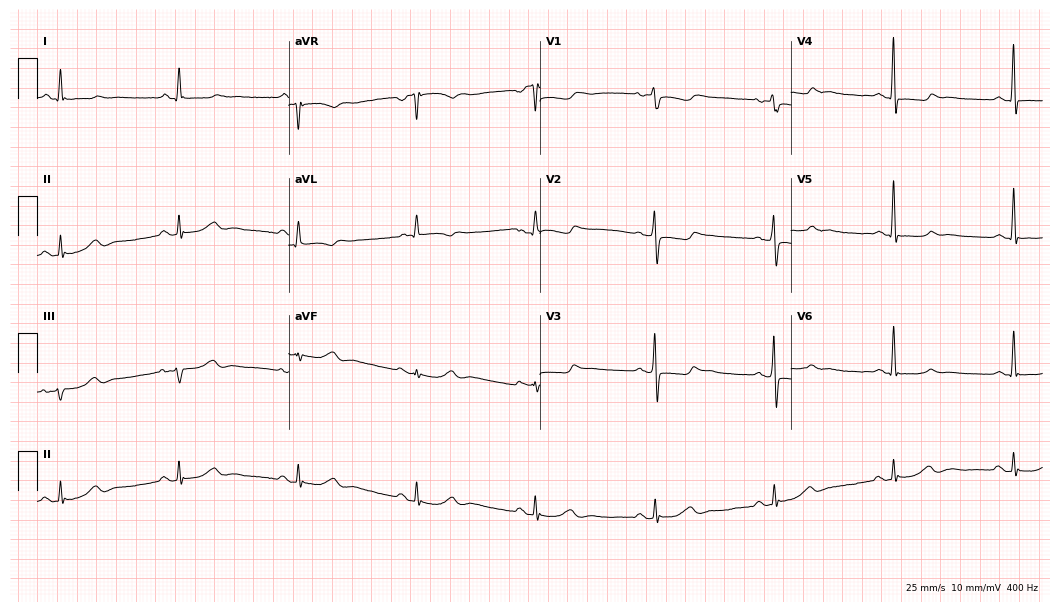
Resting 12-lead electrocardiogram. Patient: a 68-year-old woman. The tracing shows sinus bradycardia (a sinus rate of 50 beats per minute or less).